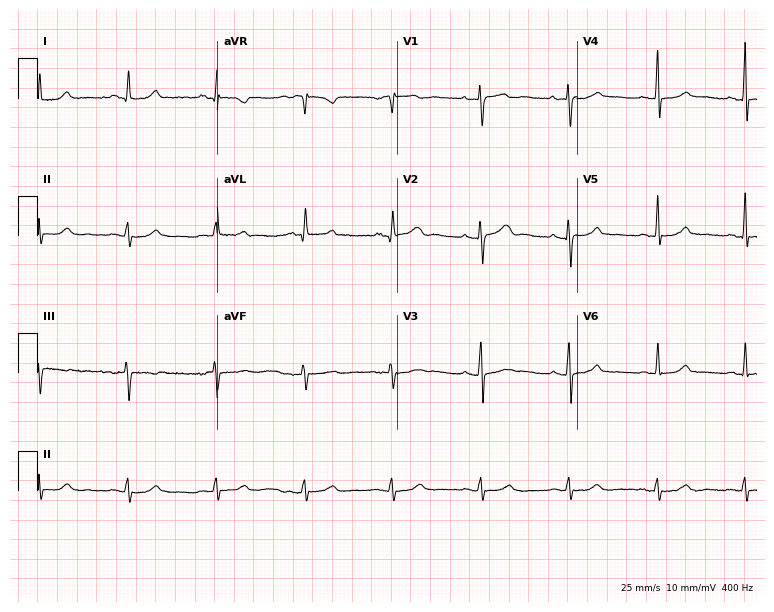
Standard 12-lead ECG recorded from a 50-year-old woman. Read as a normal ECG.